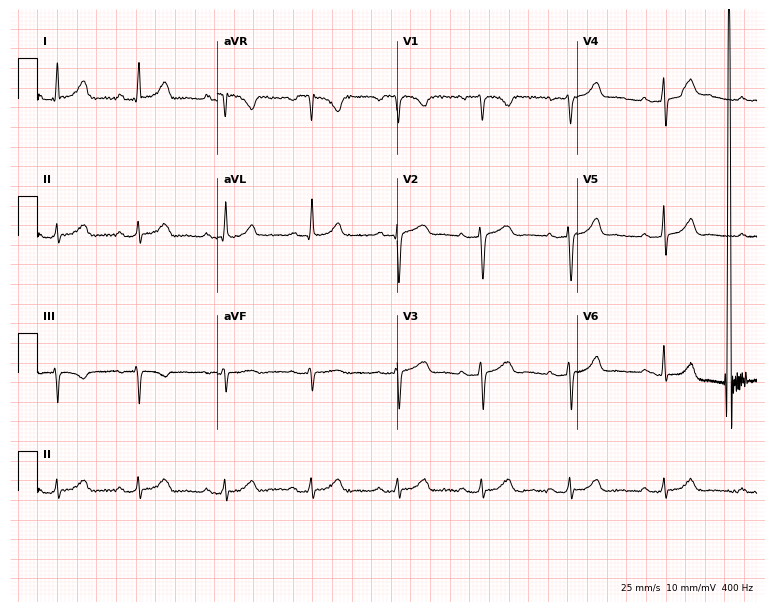
Electrocardiogram, a 45-year-old woman. Of the six screened findings (first-degree AV block, right bundle branch block, left bundle branch block, sinus bradycardia, atrial fibrillation, sinus tachycardia), none is recorded. Findings outside these six are not listed.